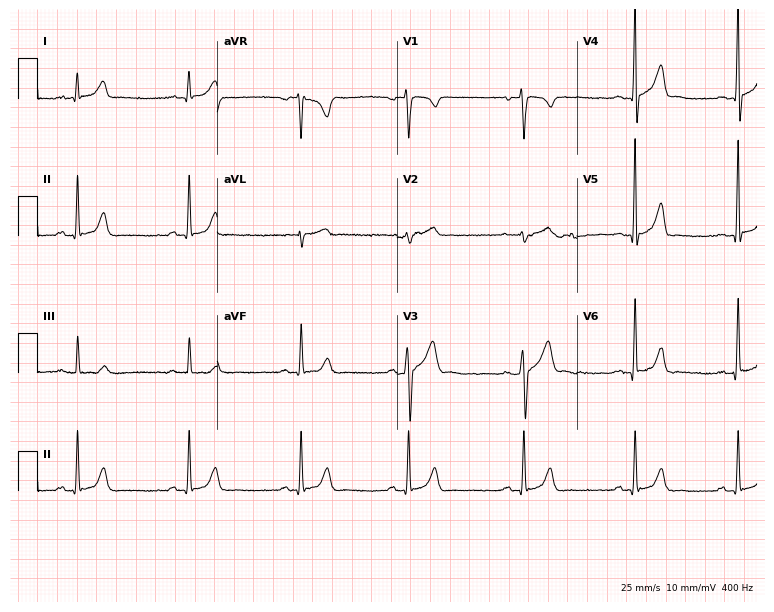
Resting 12-lead electrocardiogram (7.3-second recording at 400 Hz). Patient: a man, 27 years old. Read as a normal ECG.